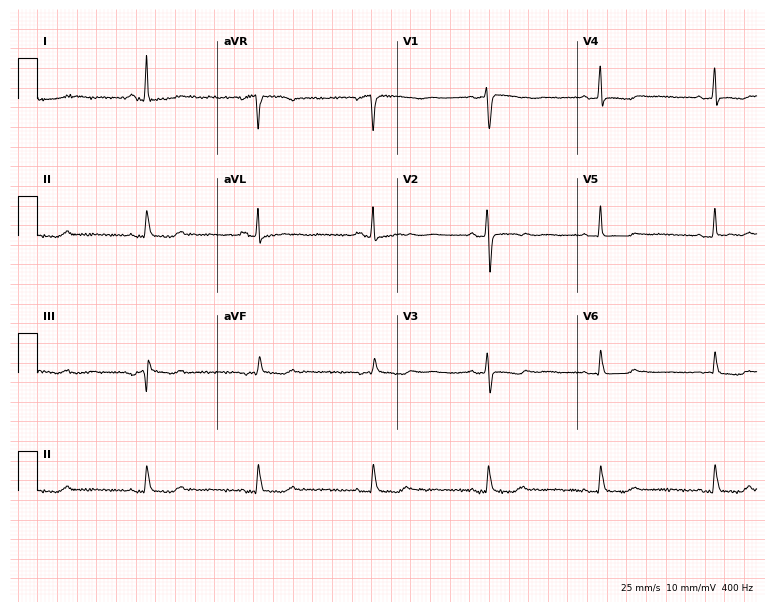
12-lead ECG from a 64-year-old female. Screened for six findings — first-degree AV block, right bundle branch block, left bundle branch block, sinus bradycardia, atrial fibrillation, sinus tachycardia — none is recorded.